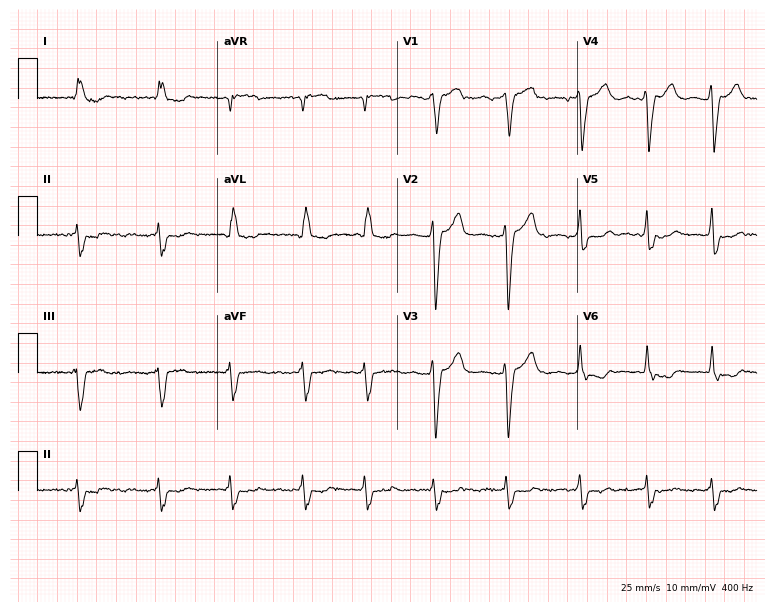
Resting 12-lead electrocardiogram. Patient: a male, 83 years old. None of these six findings is recorded: first-degree AV block, right bundle branch block (RBBB), left bundle branch block (LBBB), sinus bradycardia, atrial fibrillation (AF), sinus tachycardia.